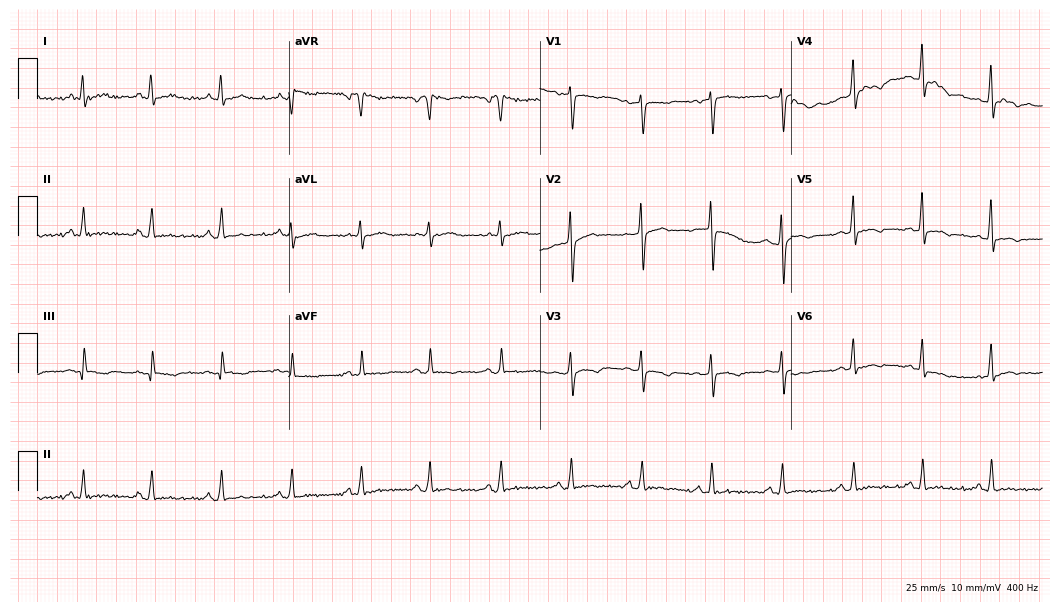
12-lead ECG from a woman, 42 years old. Screened for six findings — first-degree AV block, right bundle branch block, left bundle branch block, sinus bradycardia, atrial fibrillation, sinus tachycardia — none is recorded. Only these six findings were labelled.